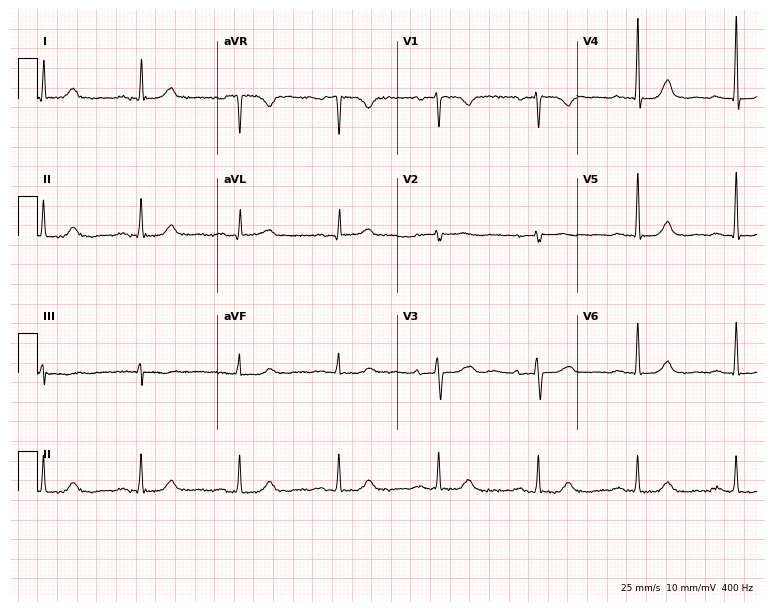
Standard 12-lead ECG recorded from a female, 76 years old. The tracing shows first-degree AV block.